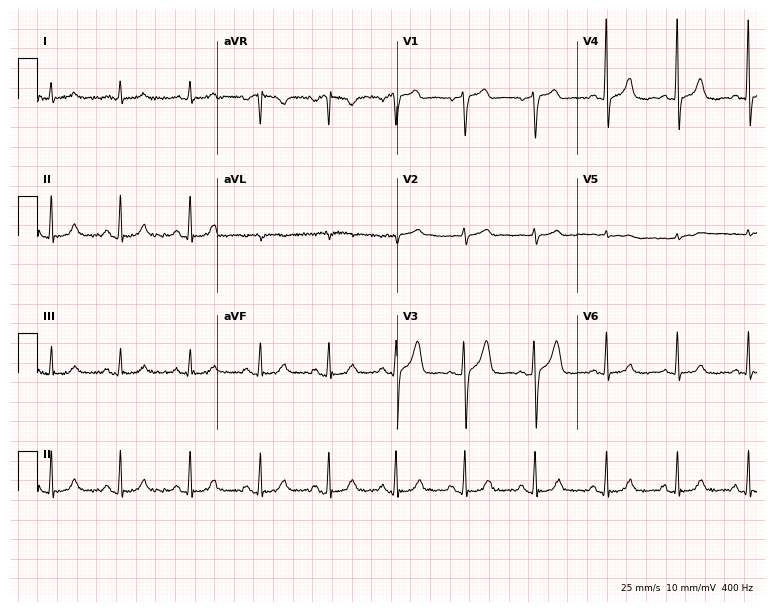
12-lead ECG (7.3-second recording at 400 Hz) from a 74-year-old female. Labelled as a normal ECG.